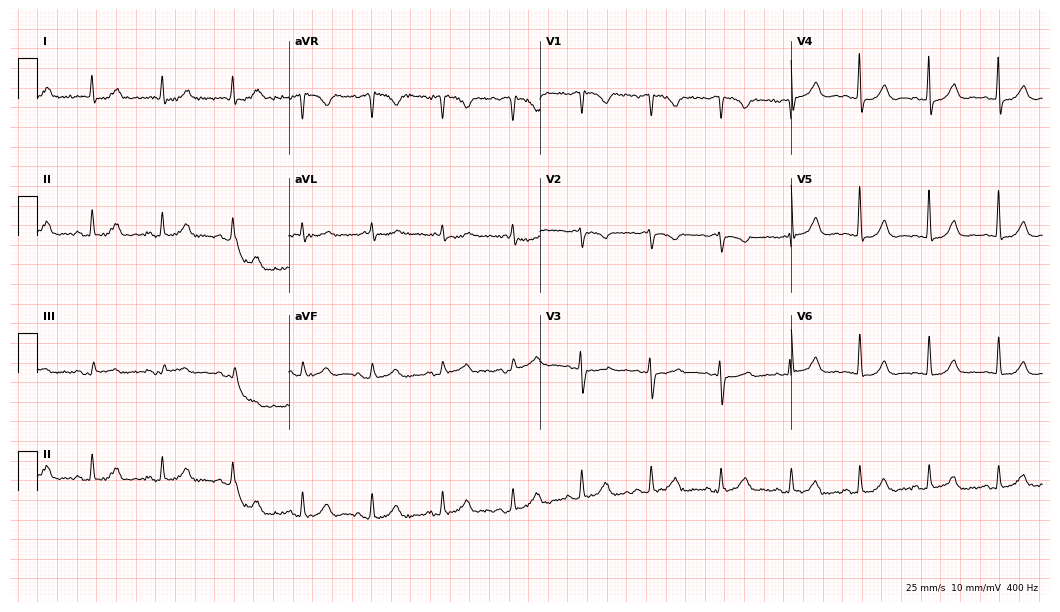
Resting 12-lead electrocardiogram. Patient: a 71-year-old female. Read as a normal ECG.